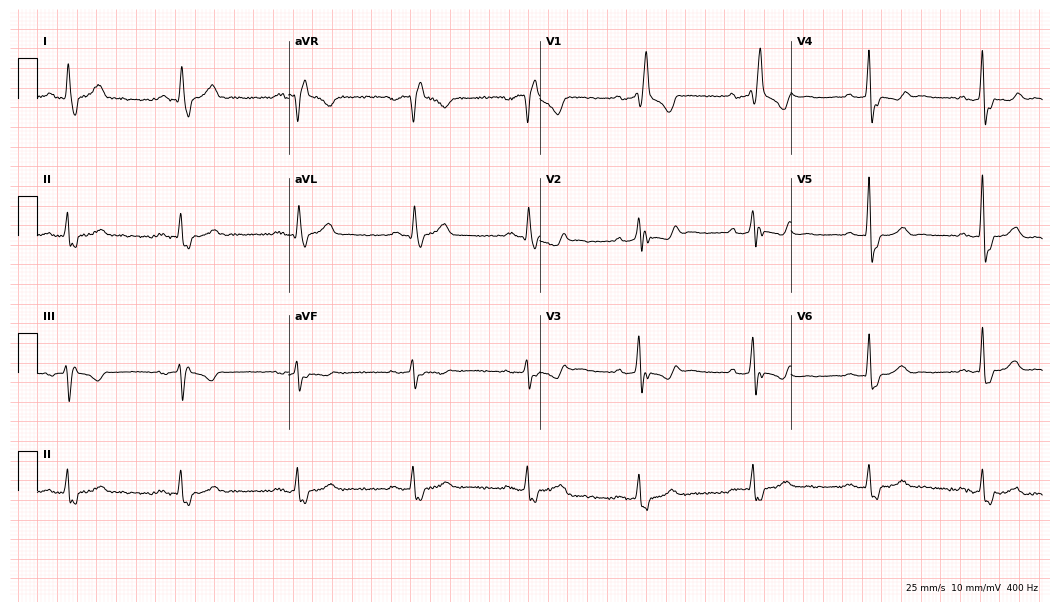
Resting 12-lead electrocardiogram. Patient: a 55-year-old man. The tracing shows first-degree AV block, right bundle branch block.